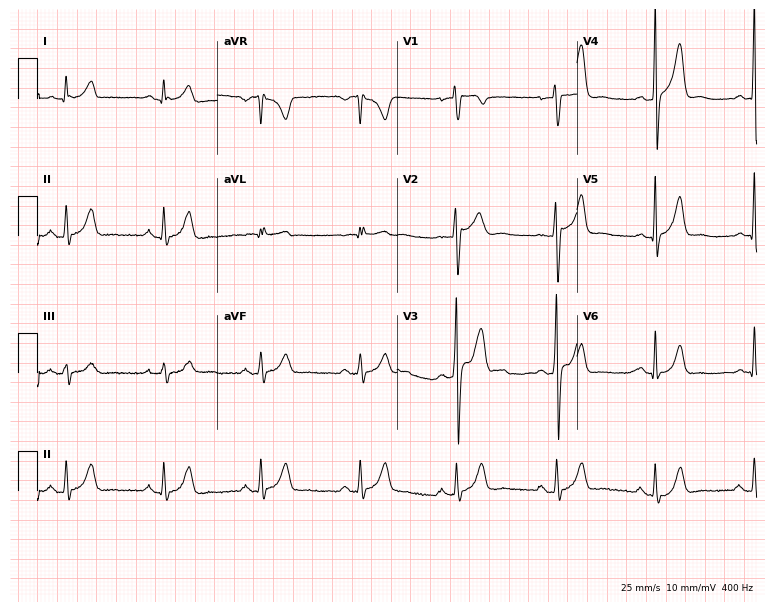
Electrocardiogram, a male patient, 41 years old. Overall reading on record: normal ECG.